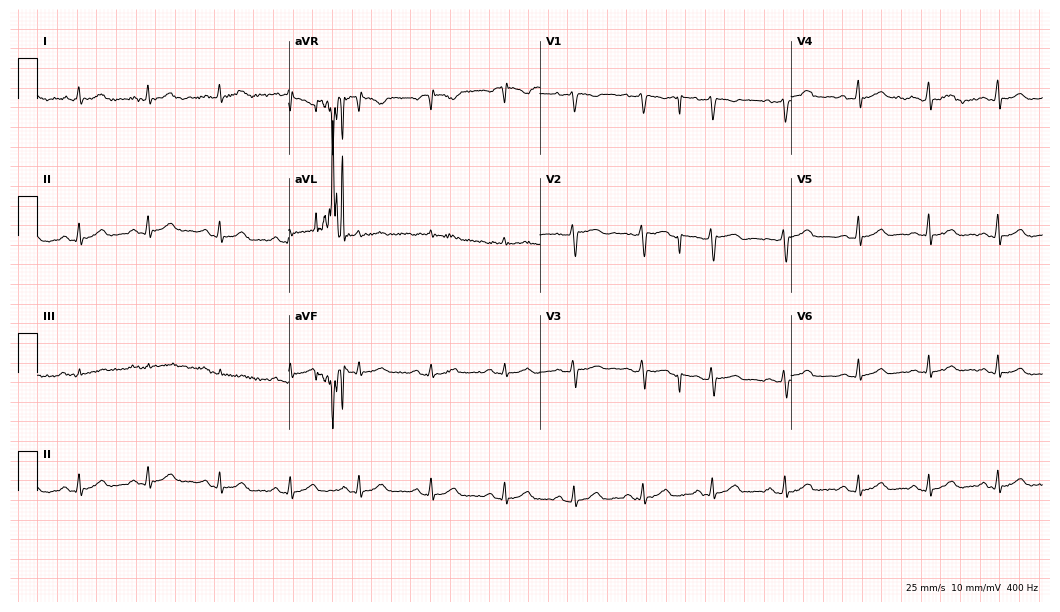
Standard 12-lead ECG recorded from a female, 35 years old. The tracing shows first-degree AV block.